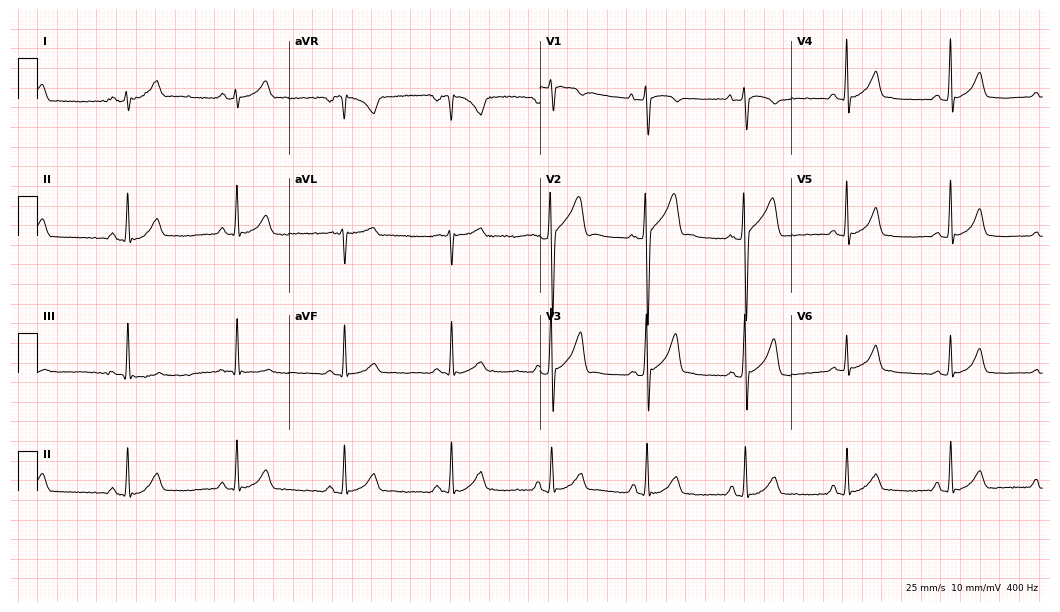
Standard 12-lead ECG recorded from a 21-year-old man. None of these six findings is recorded: first-degree AV block, right bundle branch block, left bundle branch block, sinus bradycardia, atrial fibrillation, sinus tachycardia. Other findings, if any, are not listed.